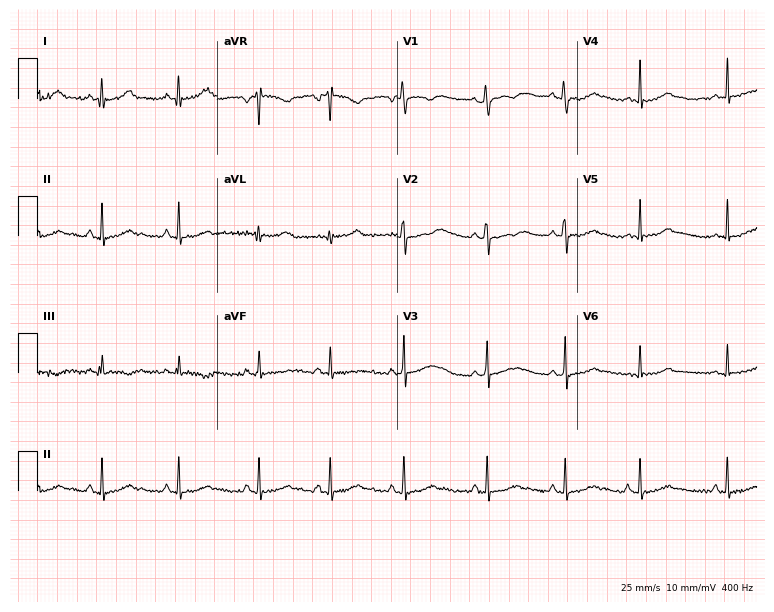
Resting 12-lead electrocardiogram. Patient: a 21-year-old female. Read as a normal ECG.